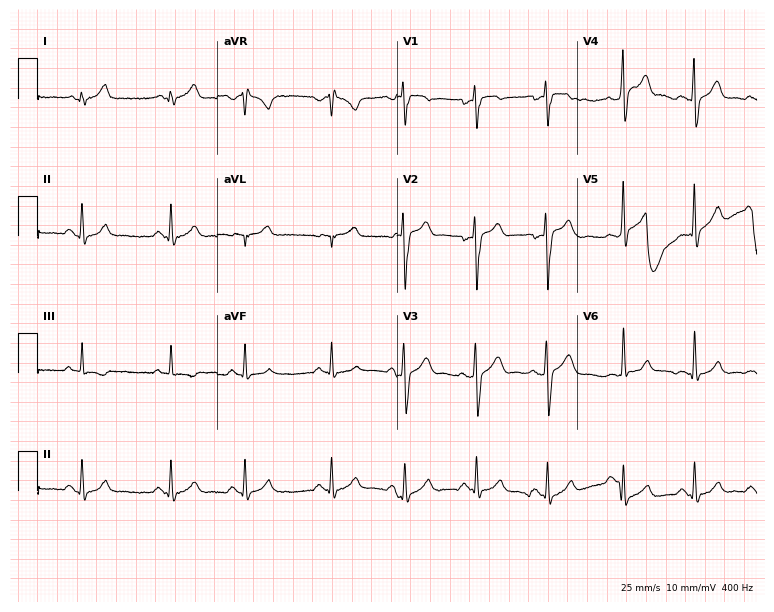
12-lead ECG from a male patient, 25 years old. Recorded interpretation: within normal limits.